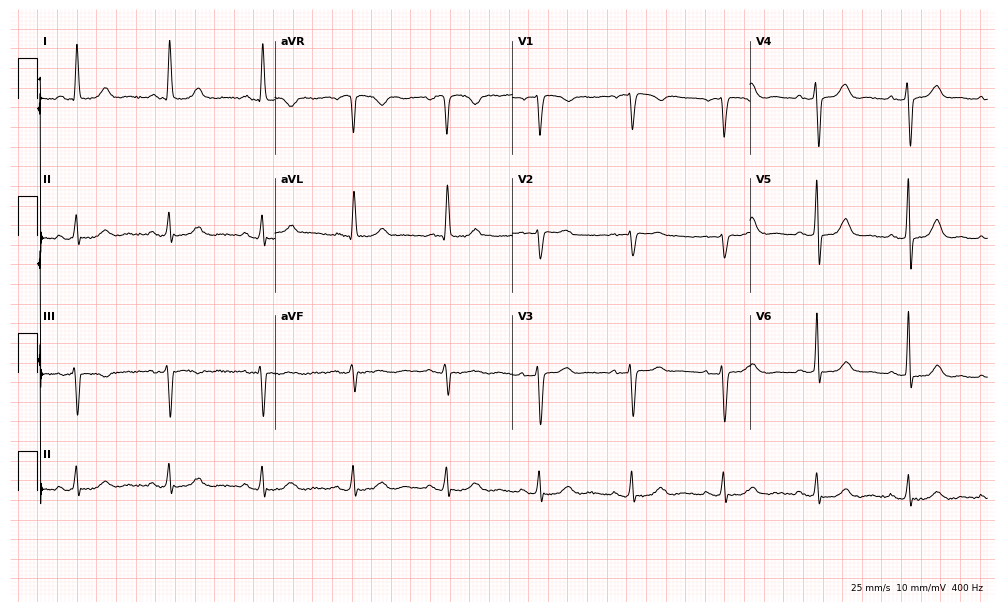
ECG (9.7-second recording at 400 Hz) — a female patient, 61 years old. Screened for six findings — first-degree AV block, right bundle branch block (RBBB), left bundle branch block (LBBB), sinus bradycardia, atrial fibrillation (AF), sinus tachycardia — none is recorded.